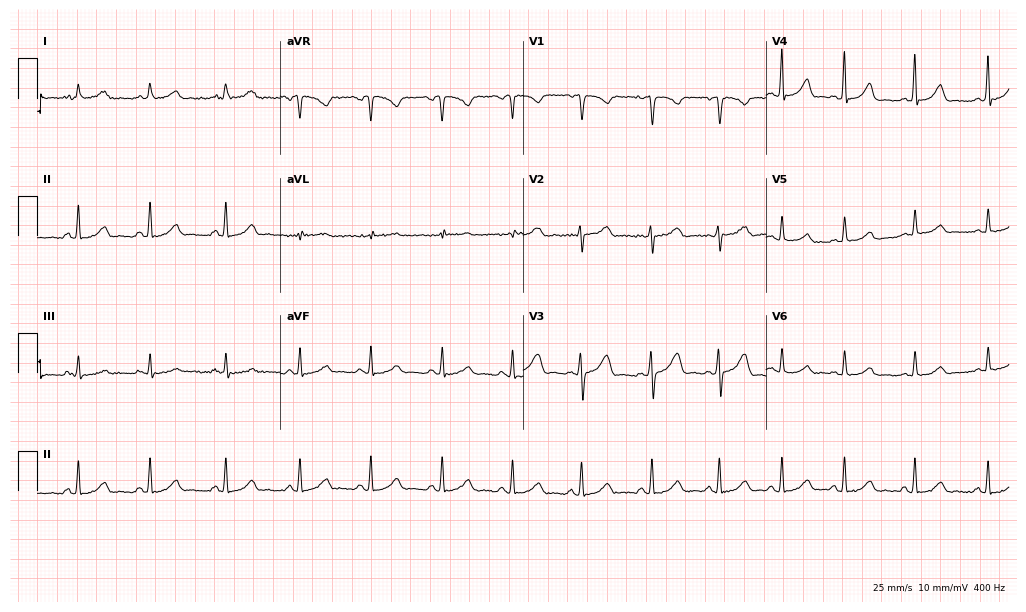
Electrocardiogram, a 27-year-old woman. Overall reading on record: normal ECG.